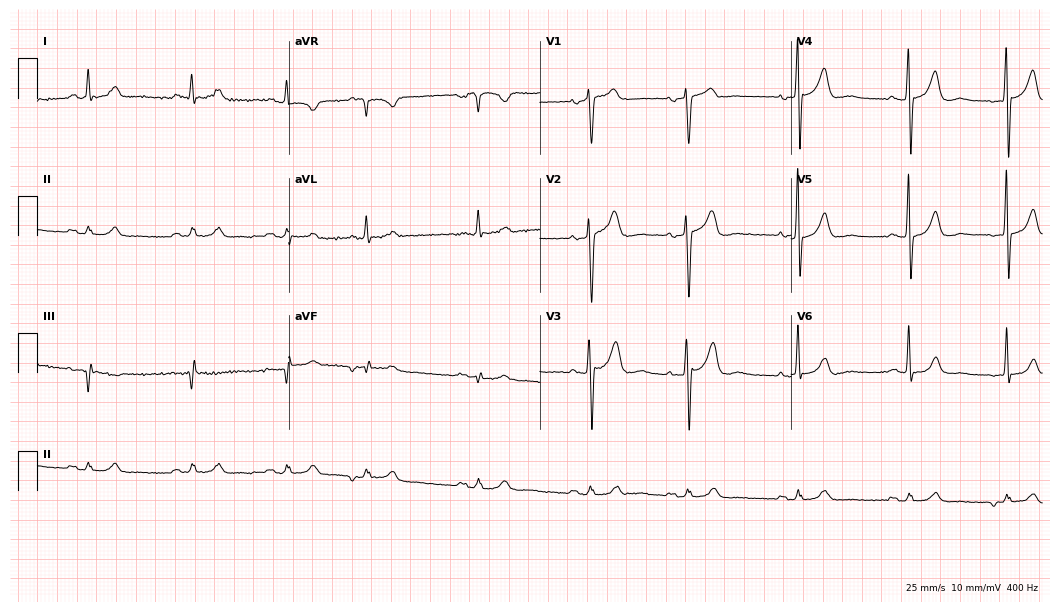
12-lead ECG from a male patient, 80 years old. No first-degree AV block, right bundle branch block, left bundle branch block, sinus bradycardia, atrial fibrillation or sinus tachycardia recorded for this tracing. Findings outside these six are not listed.